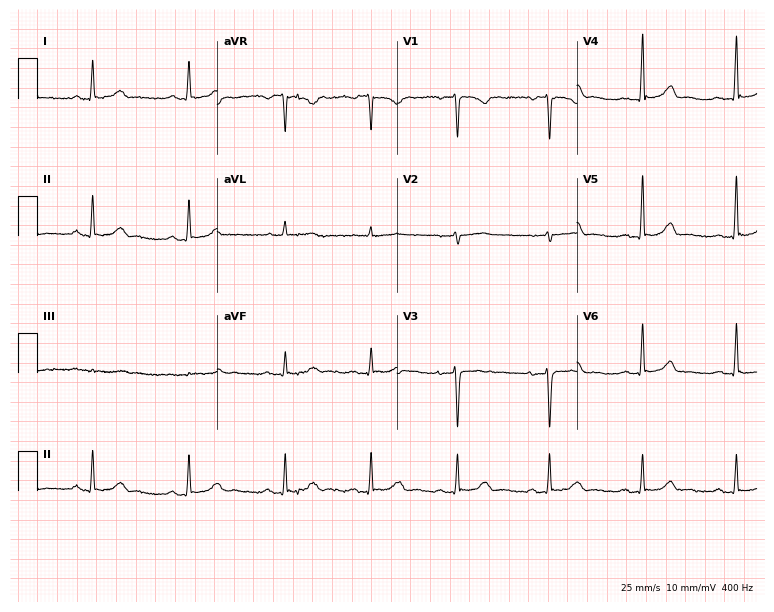
12-lead ECG from a female, 34 years old (7.3-second recording at 400 Hz). No first-degree AV block, right bundle branch block (RBBB), left bundle branch block (LBBB), sinus bradycardia, atrial fibrillation (AF) or sinus tachycardia recorded for this tracing.